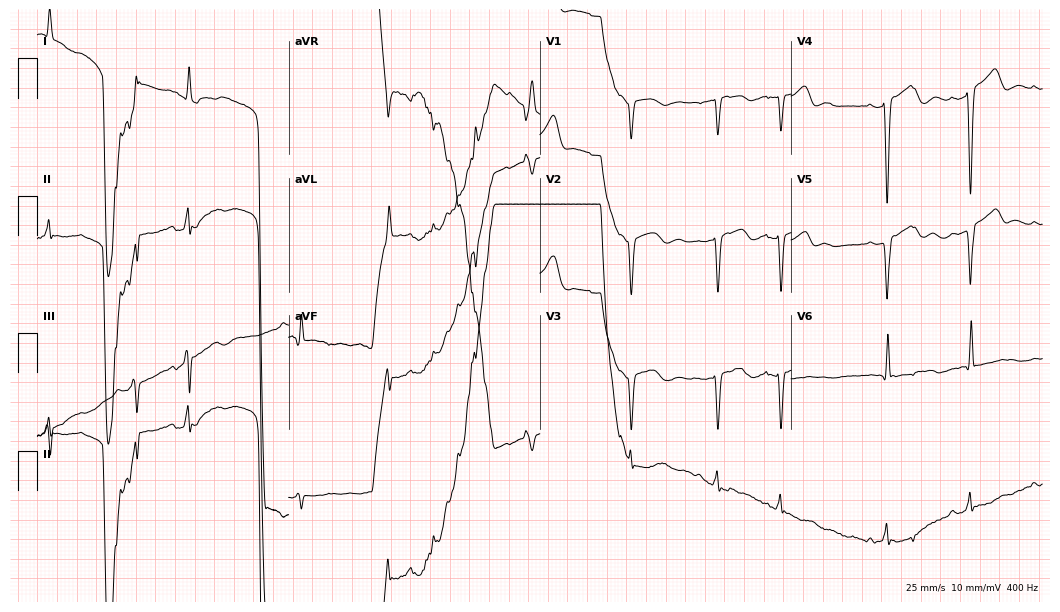
Resting 12-lead electrocardiogram. Patient: a male, 80 years old. None of these six findings is recorded: first-degree AV block, right bundle branch block, left bundle branch block, sinus bradycardia, atrial fibrillation, sinus tachycardia. Findings outside these six are not listed.